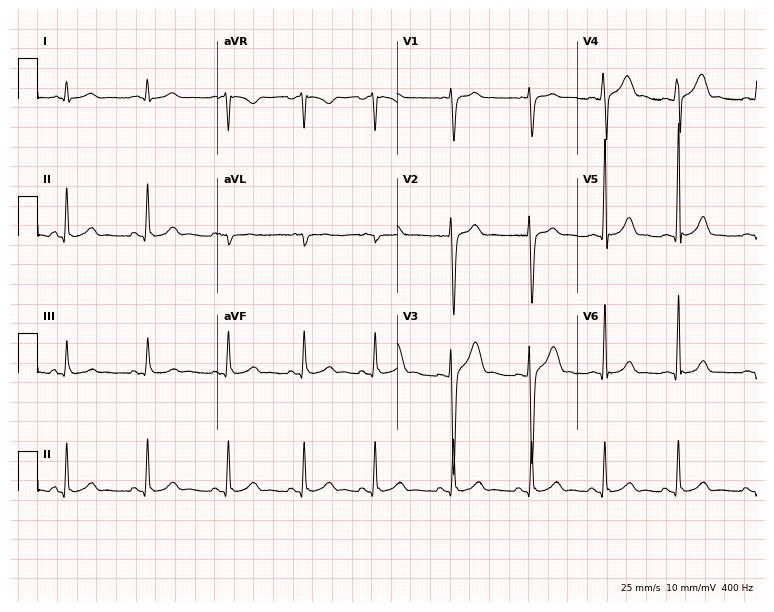
ECG (7.3-second recording at 400 Hz) — an 18-year-old man. Labelled as a normal ECG.